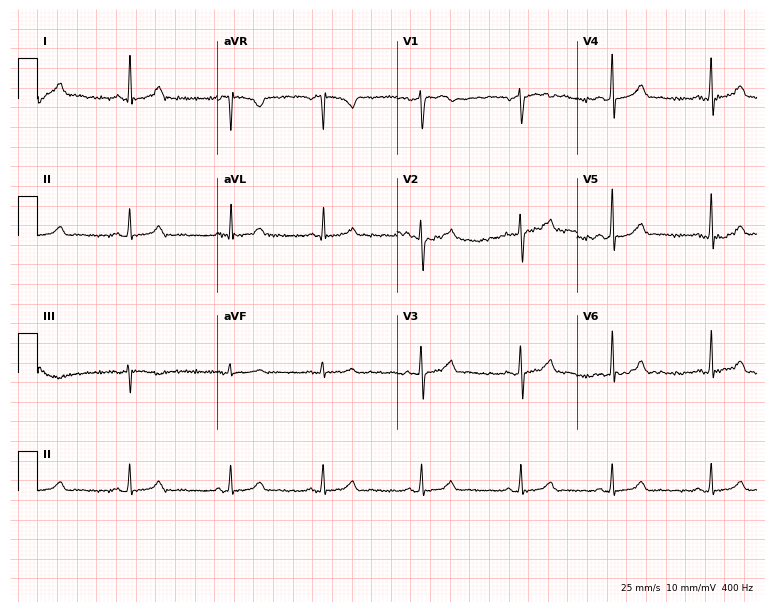
Resting 12-lead electrocardiogram (7.3-second recording at 400 Hz). Patient: a female, 44 years old. Read as a normal ECG.